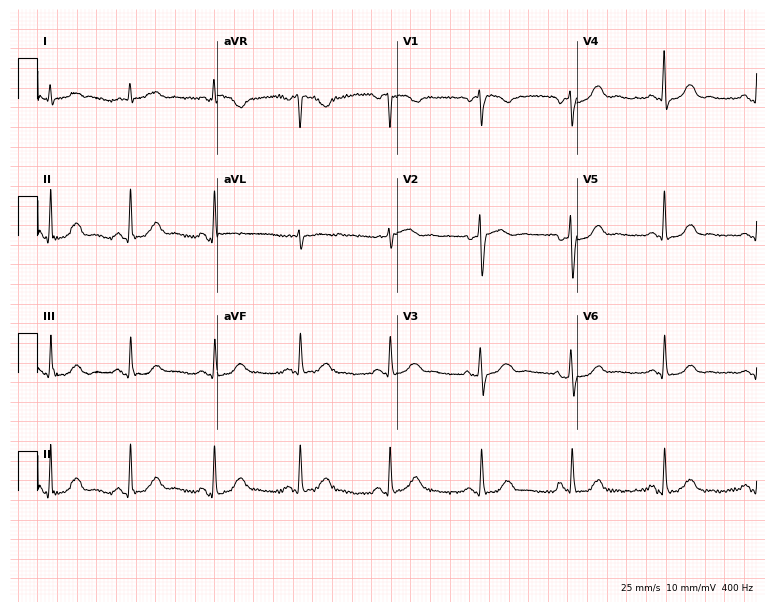
Resting 12-lead electrocardiogram (7.3-second recording at 400 Hz). Patient: a female, 77 years old. Read as a normal ECG.